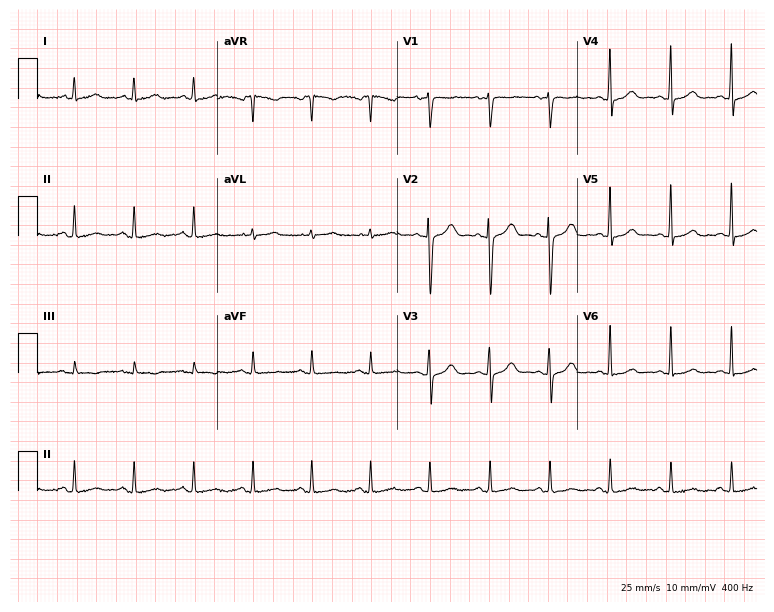
Electrocardiogram, a woman, 38 years old. Of the six screened findings (first-degree AV block, right bundle branch block, left bundle branch block, sinus bradycardia, atrial fibrillation, sinus tachycardia), none is recorded. Other findings, if any, are not listed.